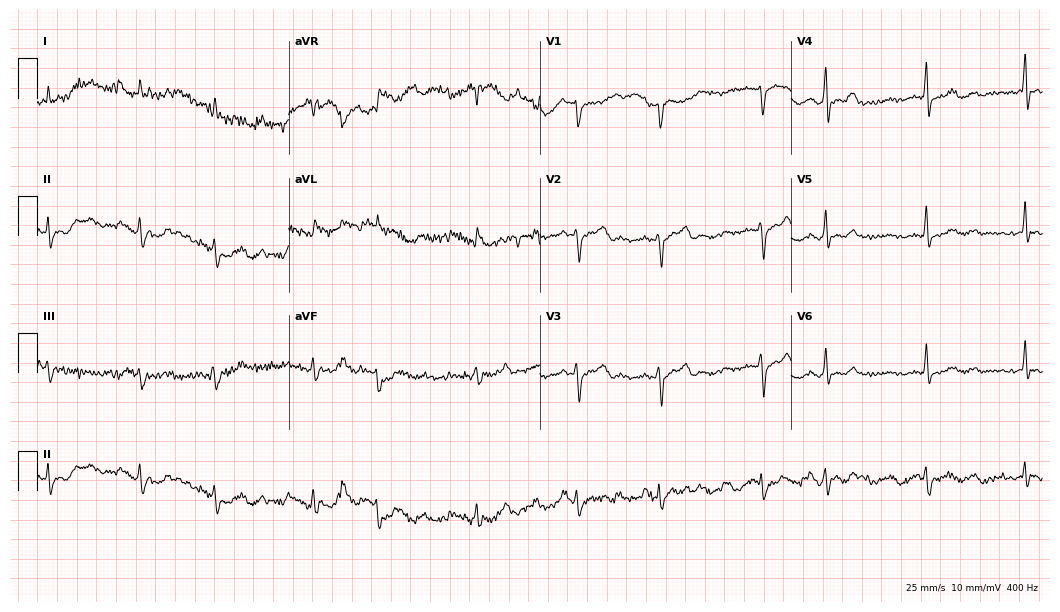
12-lead ECG from a male patient, 83 years old (10.2-second recording at 400 Hz). No first-degree AV block, right bundle branch block, left bundle branch block, sinus bradycardia, atrial fibrillation or sinus tachycardia recorded for this tracing.